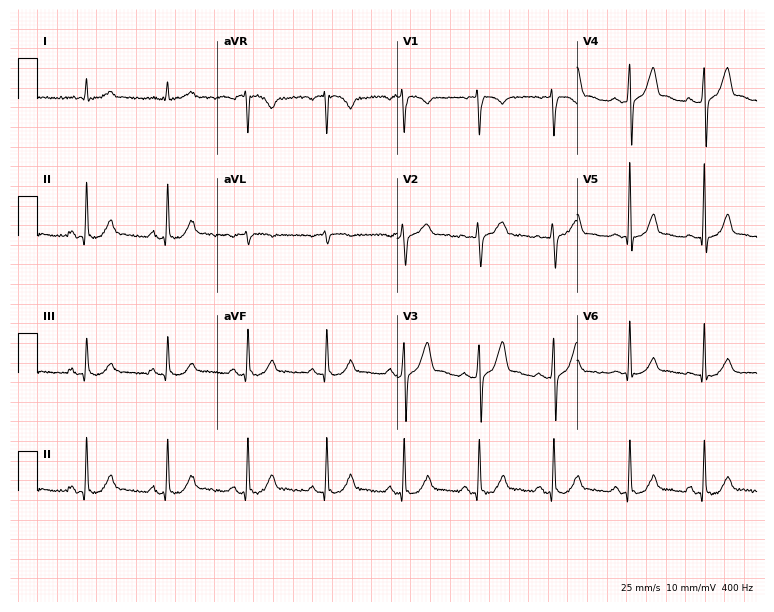
Resting 12-lead electrocardiogram. Patient: a 50-year-old man. Read as a normal ECG.